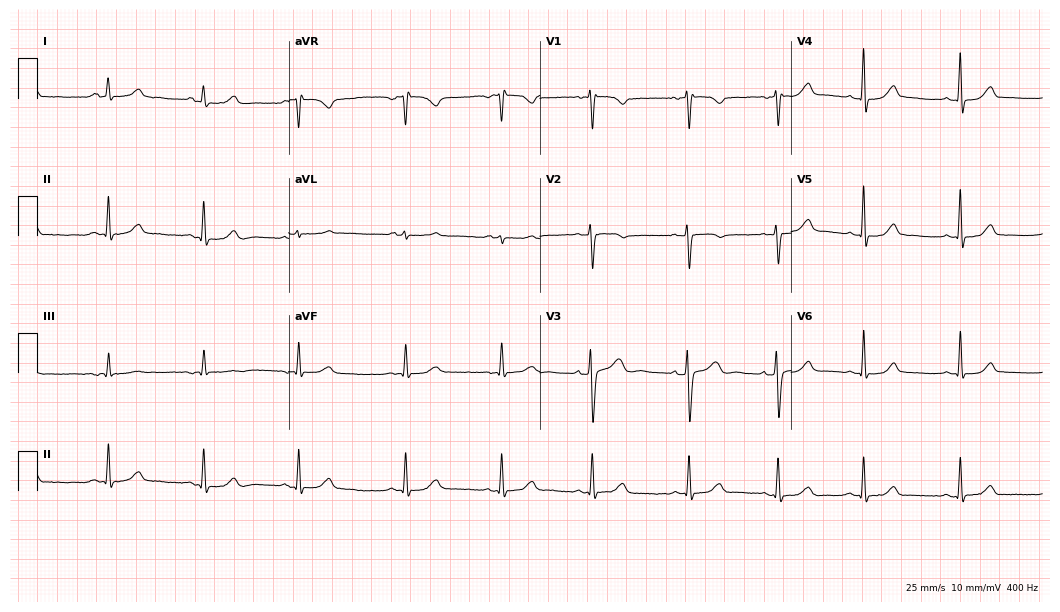
12-lead ECG from a female patient, 43 years old. Labelled as a normal ECG.